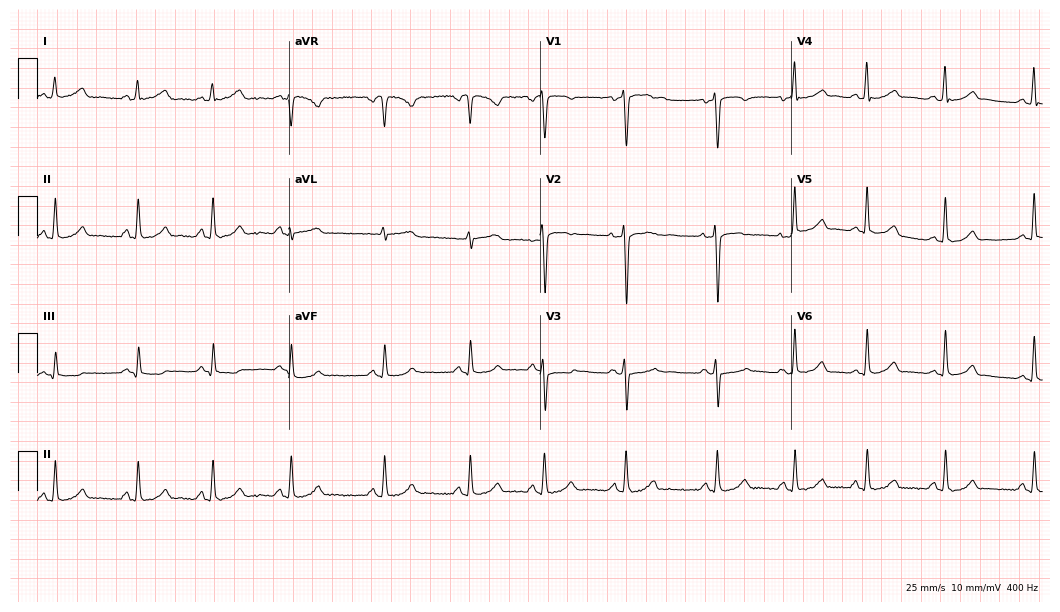
Standard 12-lead ECG recorded from a female patient, 23 years old (10.2-second recording at 400 Hz). Read as a normal ECG.